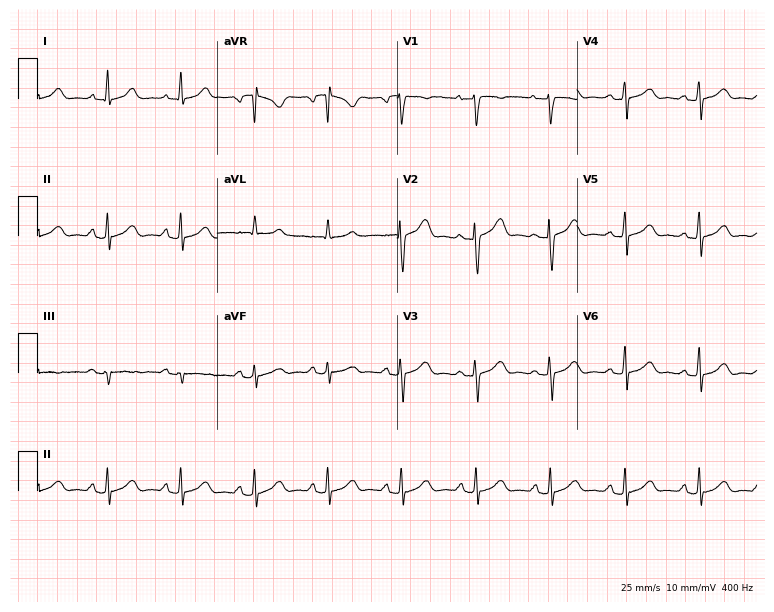
Electrocardiogram, a female, 48 years old. Overall reading on record: normal ECG.